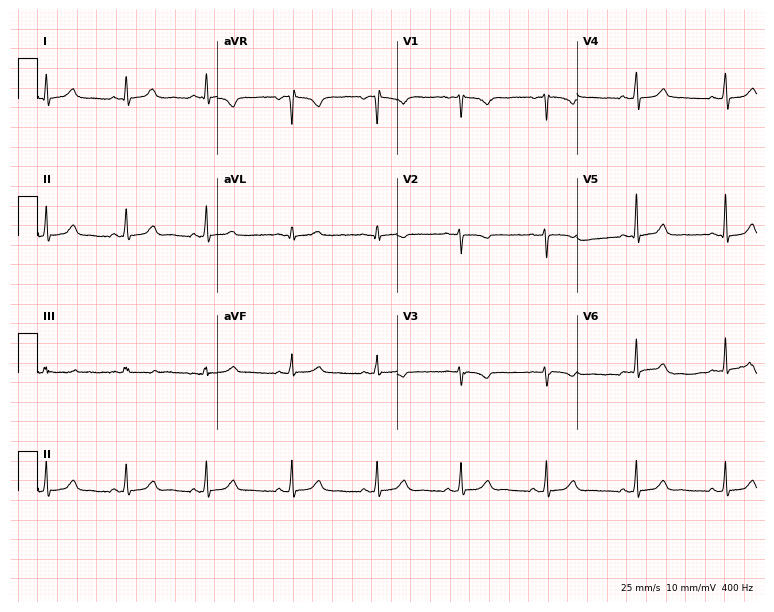
ECG — a 25-year-old female patient. Labelled as a normal ECG.